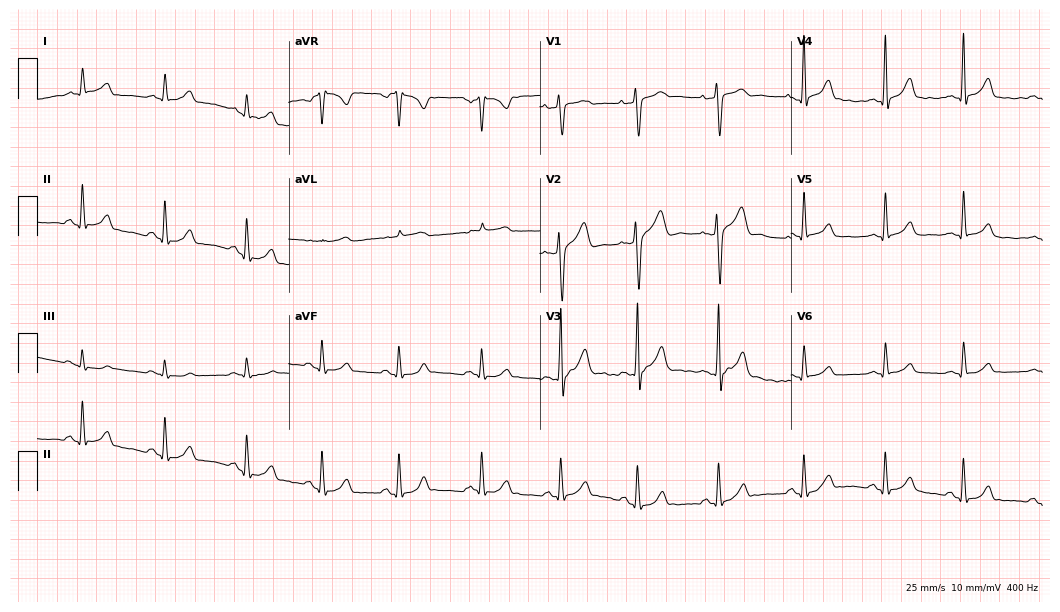
12-lead ECG from a male patient, 23 years old. Recorded interpretation: within normal limits.